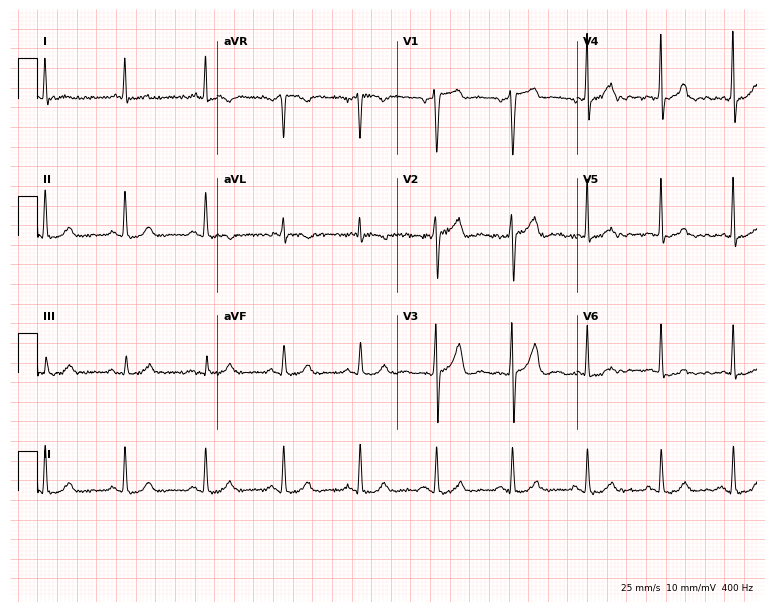
12-lead ECG from a 62-year-old male patient (7.3-second recording at 400 Hz). Recorded interpretation: within normal limits.